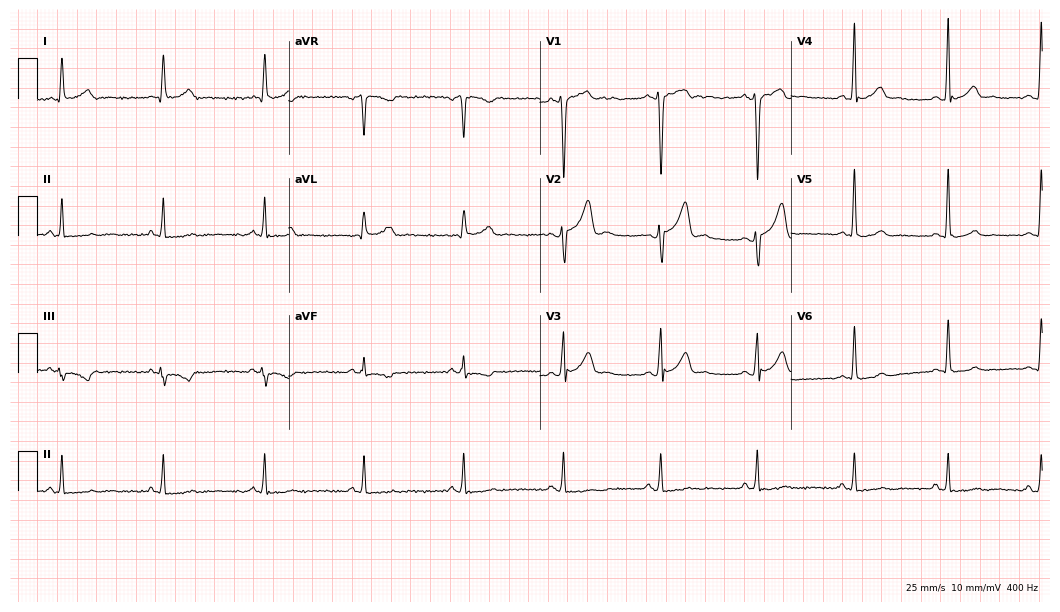
ECG — a male patient, 22 years old. Screened for six findings — first-degree AV block, right bundle branch block, left bundle branch block, sinus bradycardia, atrial fibrillation, sinus tachycardia — none is recorded. Findings outside these six are not listed.